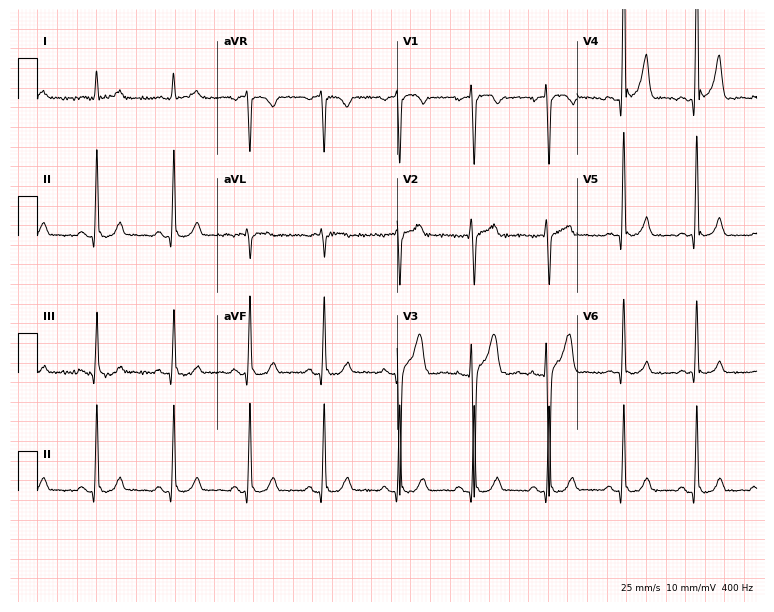
12-lead ECG from a 56-year-old male. Screened for six findings — first-degree AV block, right bundle branch block, left bundle branch block, sinus bradycardia, atrial fibrillation, sinus tachycardia — none is recorded. Findings outside these six are not listed.